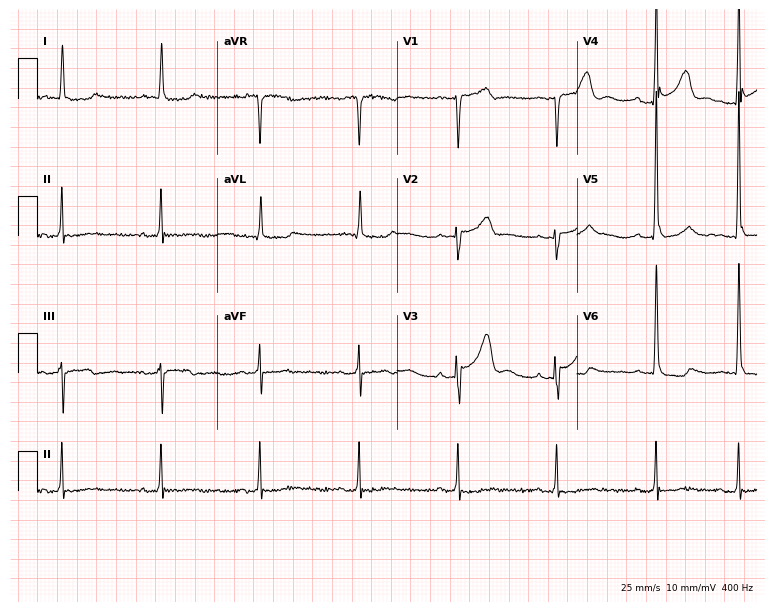
ECG (7.3-second recording at 400 Hz) — a male patient, 80 years old. Screened for six findings — first-degree AV block, right bundle branch block, left bundle branch block, sinus bradycardia, atrial fibrillation, sinus tachycardia — none is recorded. Other findings, if any, are not listed.